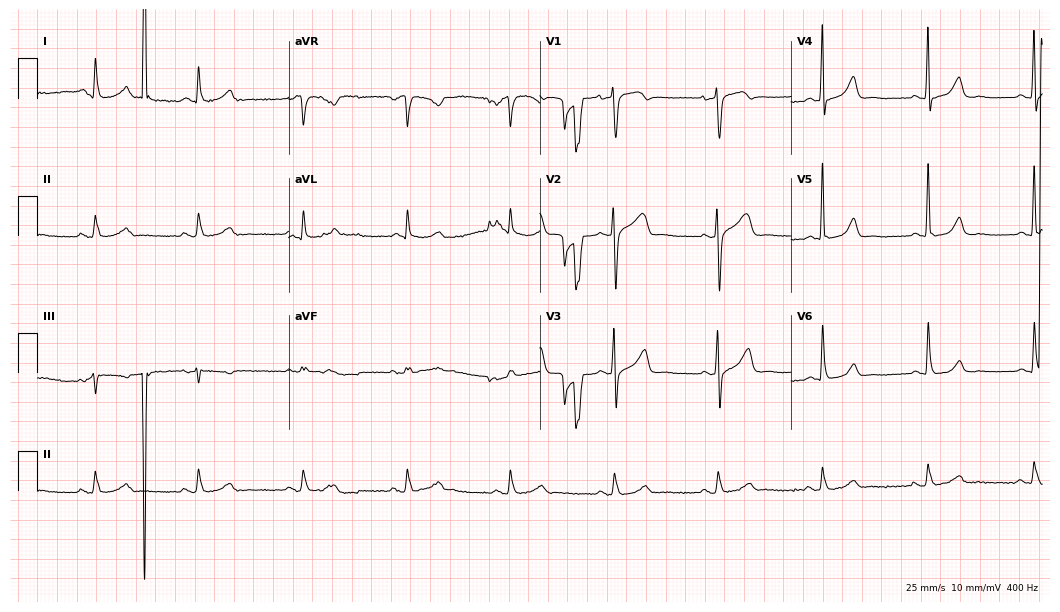
12-lead ECG (10.2-second recording at 400 Hz) from a 72-year-old male. Labelled as a normal ECG.